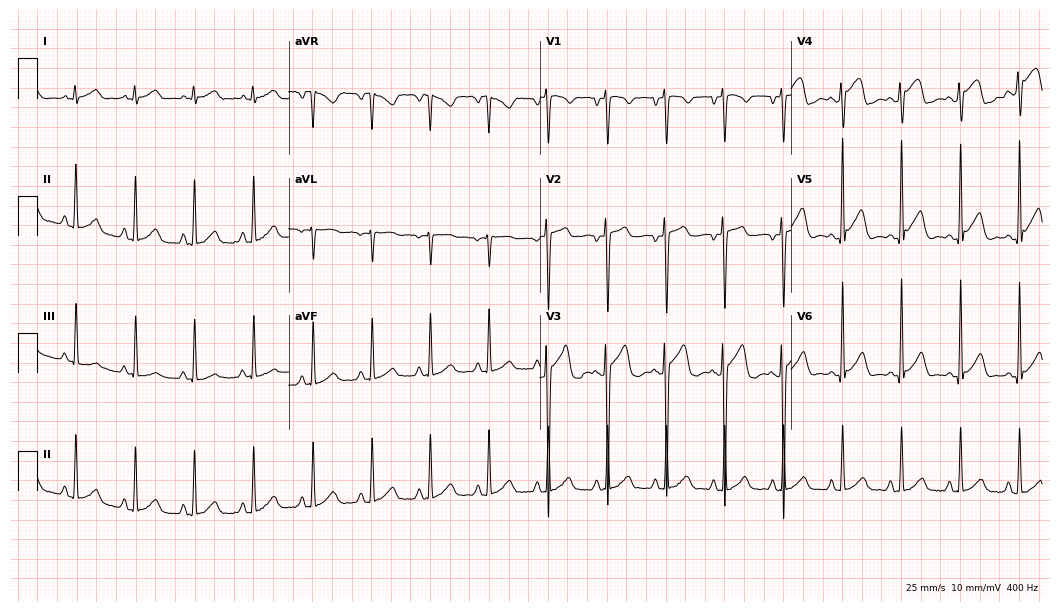
Resting 12-lead electrocardiogram (10.2-second recording at 400 Hz). Patient: a male, 26 years old. Read as a normal ECG.